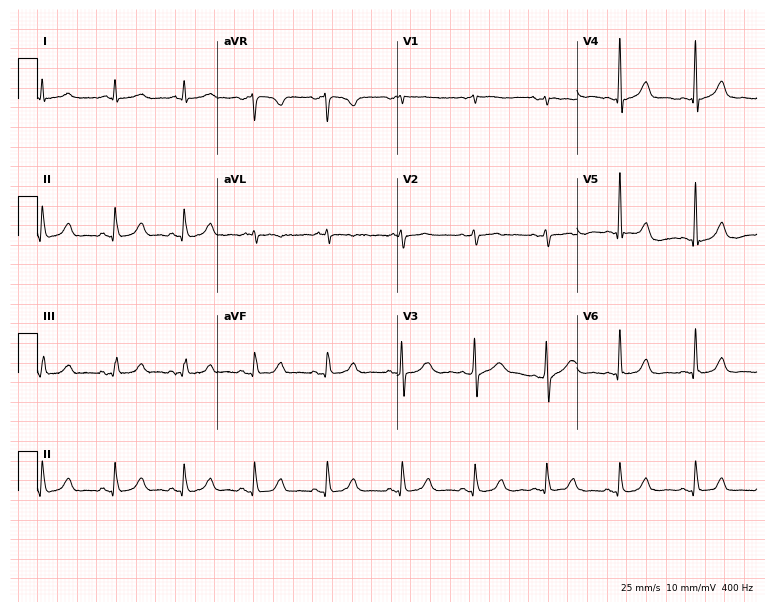
12-lead ECG from a woman, 51 years old. Screened for six findings — first-degree AV block, right bundle branch block (RBBB), left bundle branch block (LBBB), sinus bradycardia, atrial fibrillation (AF), sinus tachycardia — none is recorded. Other findings, if any, are not listed.